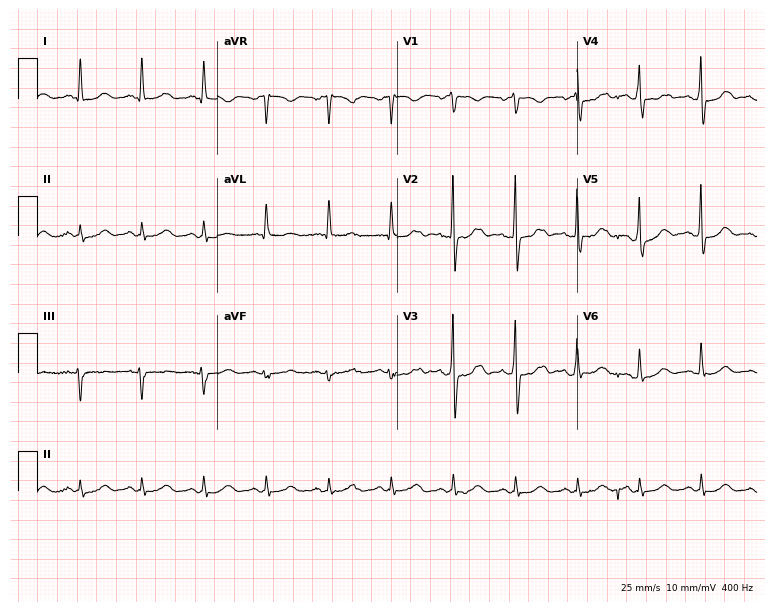
Resting 12-lead electrocardiogram (7.3-second recording at 400 Hz). Patient: a 79-year-old male. None of these six findings is recorded: first-degree AV block, right bundle branch block, left bundle branch block, sinus bradycardia, atrial fibrillation, sinus tachycardia. Other findings, if any, are not listed.